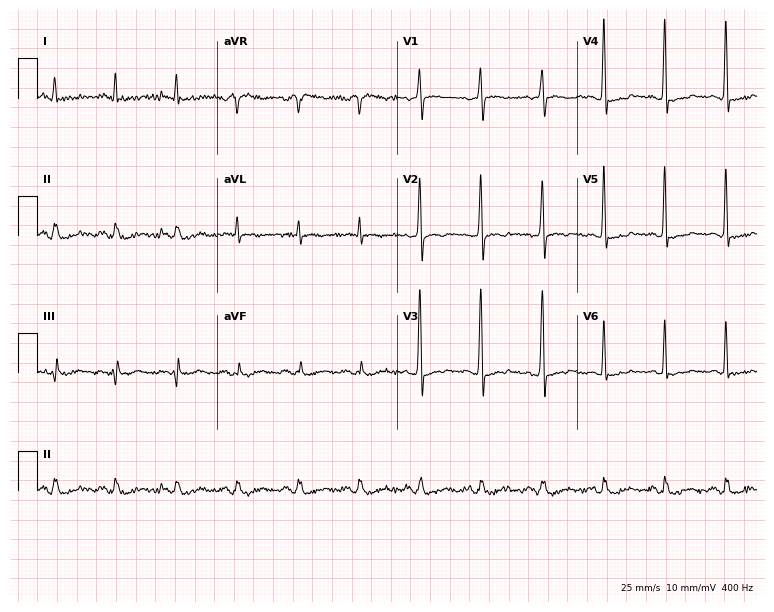
12-lead ECG from a 67-year-old male patient. Screened for six findings — first-degree AV block, right bundle branch block, left bundle branch block, sinus bradycardia, atrial fibrillation, sinus tachycardia — none is recorded. Findings outside these six are not listed.